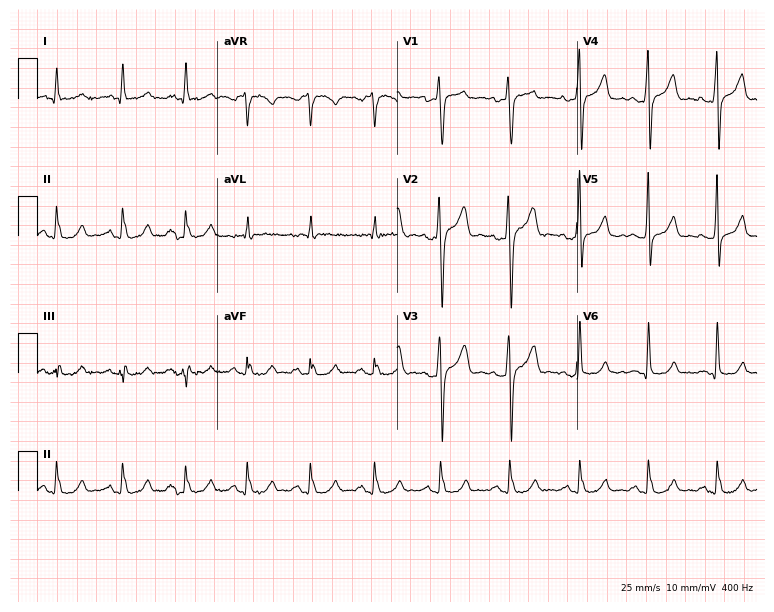
Electrocardiogram (7.3-second recording at 400 Hz), a male, 46 years old. Of the six screened findings (first-degree AV block, right bundle branch block, left bundle branch block, sinus bradycardia, atrial fibrillation, sinus tachycardia), none is recorded.